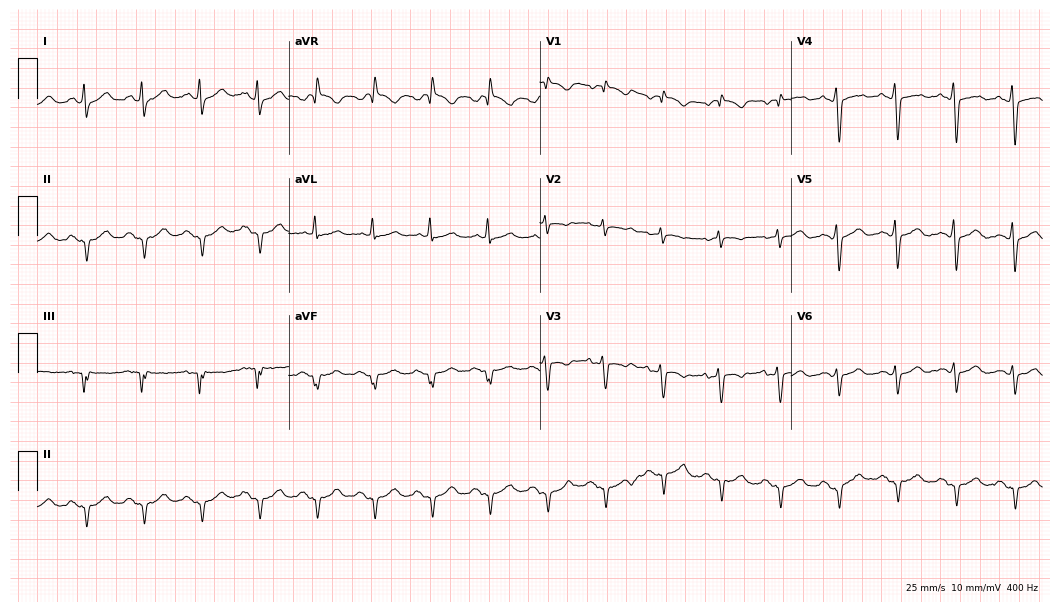
ECG (10.2-second recording at 400 Hz) — a female, 59 years old. Findings include sinus tachycardia (a sinus rate of 100 beats per minute or more).